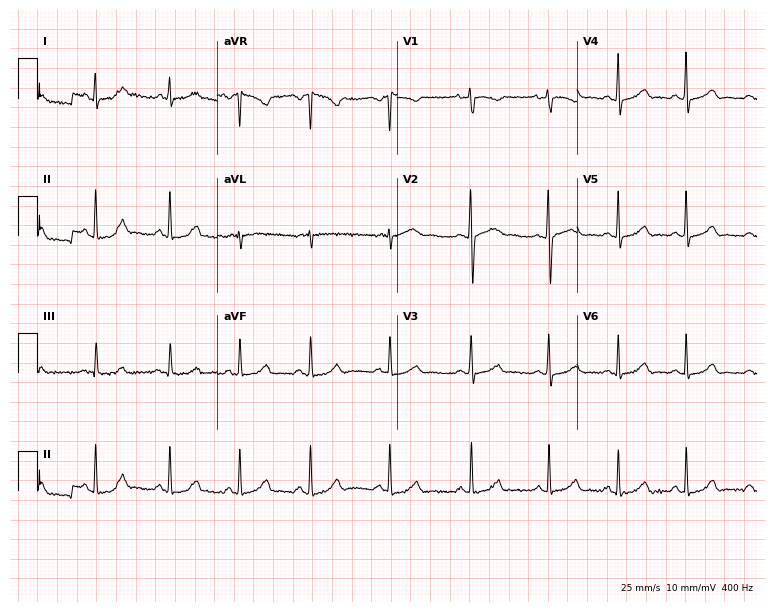
12-lead ECG from a woman, 17 years old (7.3-second recording at 400 Hz). No first-degree AV block, right bundle branch block, left bundle branch block, sinus bradycardia, atrial fibrillation or sinus tachycardia recorded for this tracing.